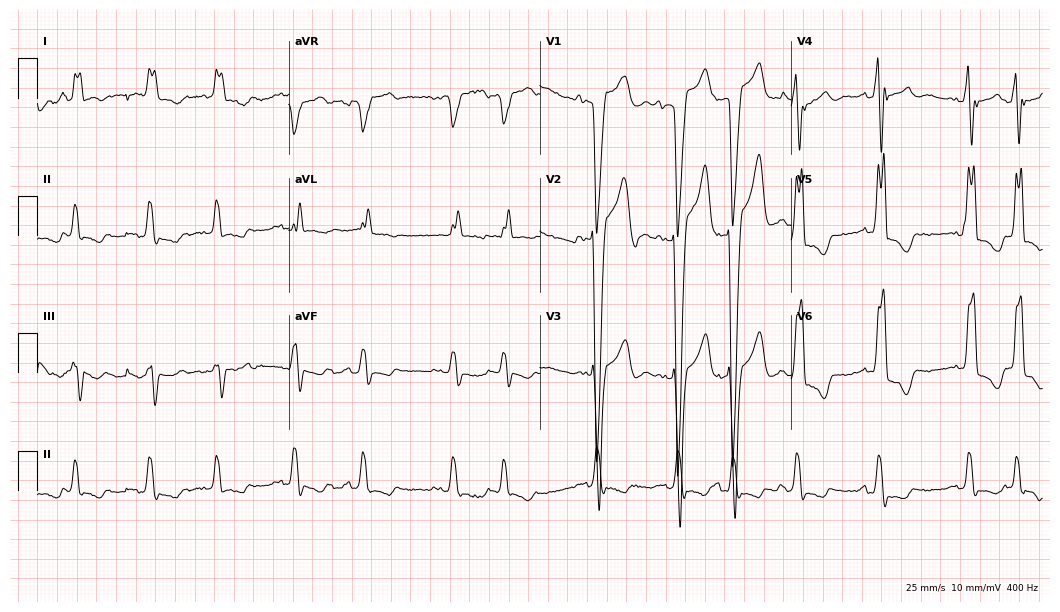
12-lead ECG (10.2-second recording at 400 Hz) from a male, 74 years old. Findings include left bundle branch block.